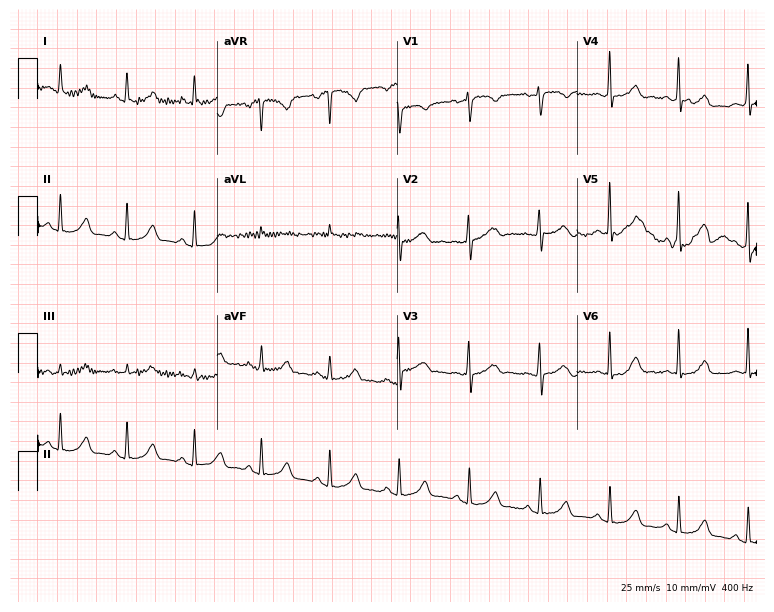
Electrocardiogram (7.3-second recording at 400 Hz), a 42-year-old woman. Of the six screened findings (first-degree AV block, right bundle branch block, left bundle branch block, sinus bradycardia, atrial fibrillation, sinus tachycardia), none is recorded.